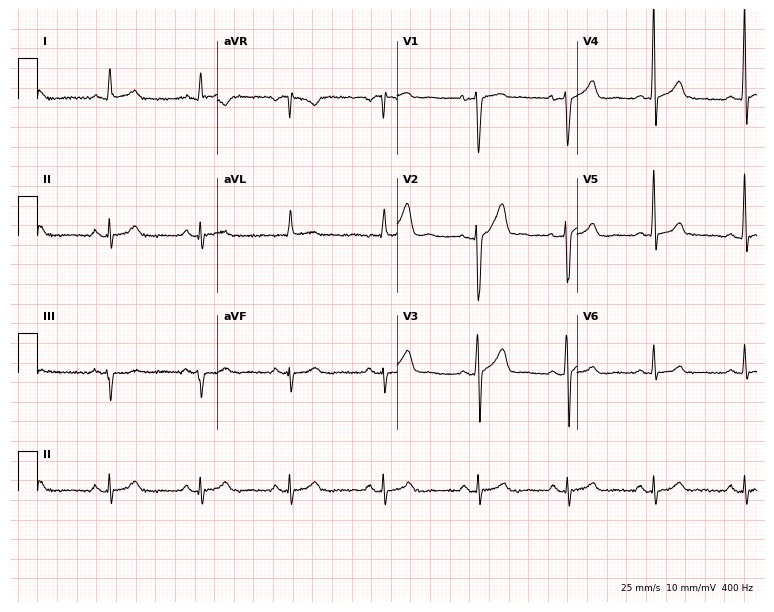
12-lead ECG (7.3-second recording at 400 Hz) from a 39-year-old man. Screened for six findings — first-degree AV block, right bundle branch block, left bundle branch block, sinus bradycardia, atrial fibrillation, sinus tachycardia — none is recorded. Findings outside these six are not listed.